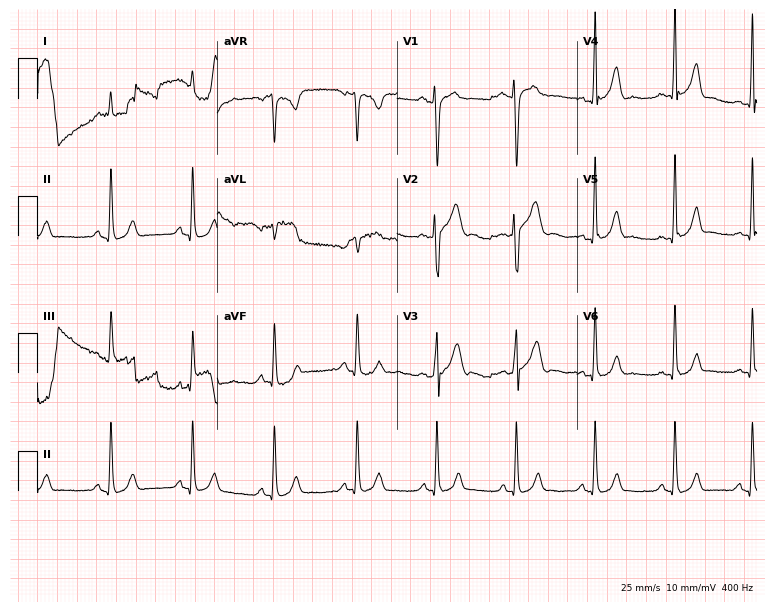
Resting 12-lead electrocardiogram. Patient: a male, 22 years old. Read as a normal ECG.